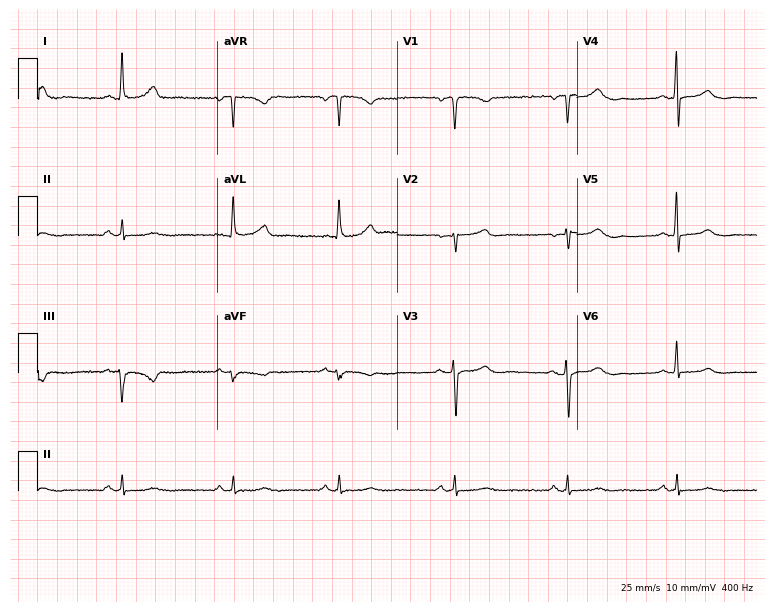
12-lead ECG (7.3-second recording at 400 Hz) from a 57-year-old woman. Screened for six findings — first-degree AV block, right bundle branch block (RBBB), left bundle branch block (LBBB), sinus bradycardia, atrial fibrillation (AF), sinus tachycardia — none is recorded.